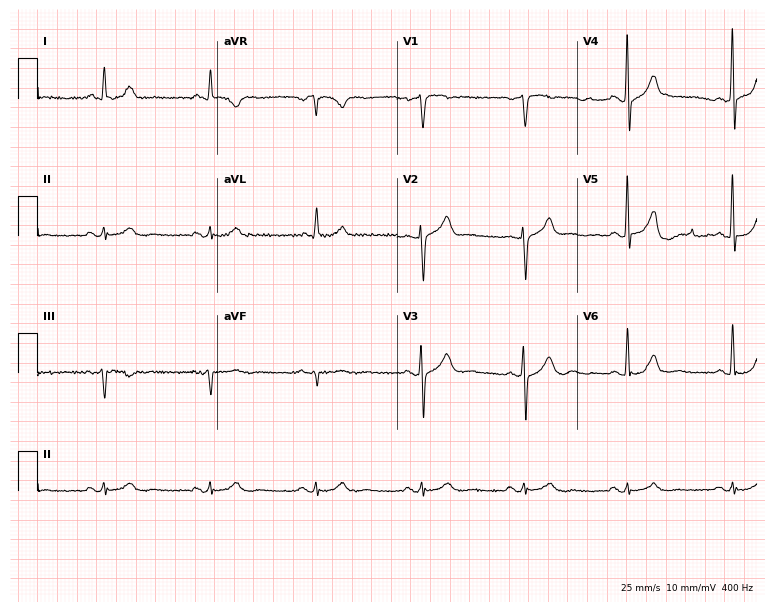
ECG — a 72-year-old man. Screened for six findings — first-degree AV block, right bundle branch block (RBBB), left bundle branch block (LBBB), sinus bradycardia, atrial fibrillation (AF), sinus tachycardia — none is recorded. Other findings, if any, are not listed.